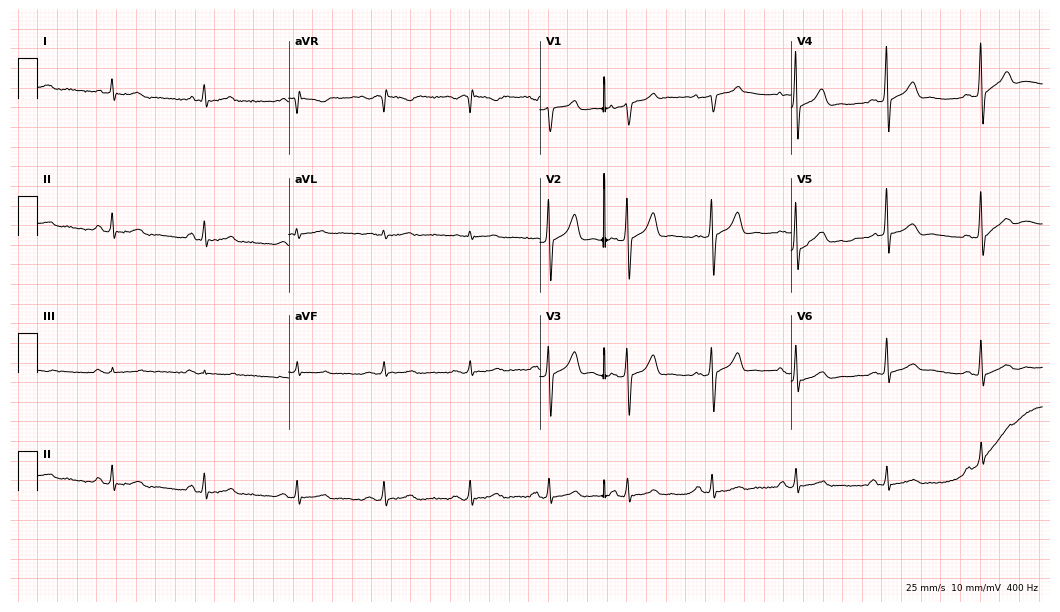
12-lead ECG from a 59-year-old male patient. Labelled as a normal ECG.